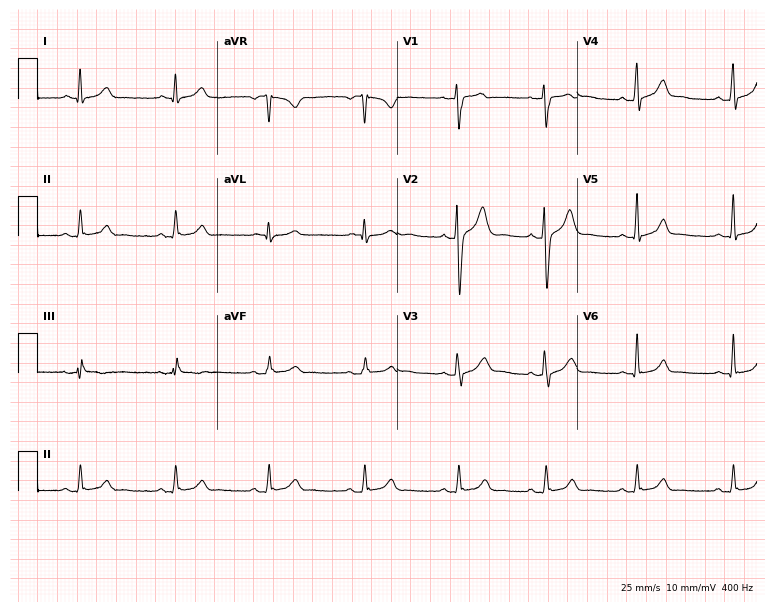
12-lead ECG from a 35-year-old male patient. Labelled as a normal ECG.